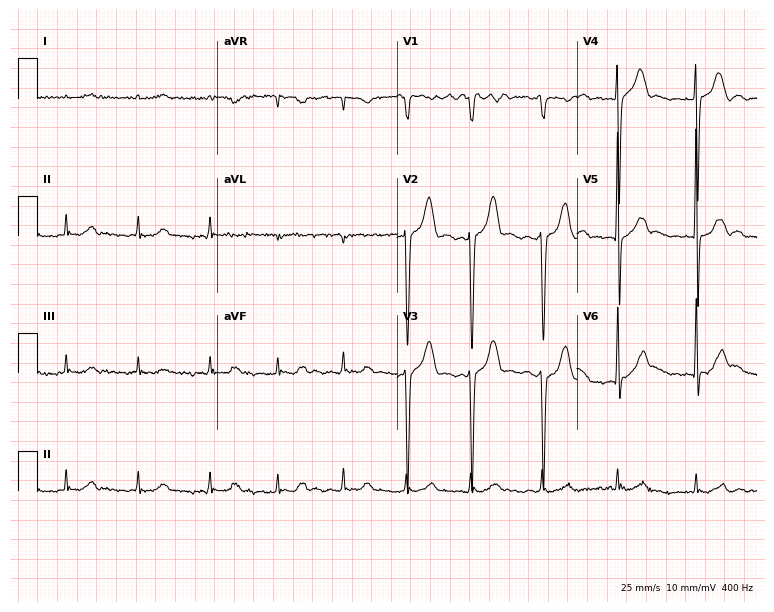
Resting 12-lead electrocardiogram. Patient: an 85-year-old woman. None of these six findings is recorded: first-degree AV block, right bundle branch block (RBBB), left bundle branch block (LBBB), sinus bradycardia, atrial fibrillation (AF), sinus tachycardia. Only these six findings were labelled.